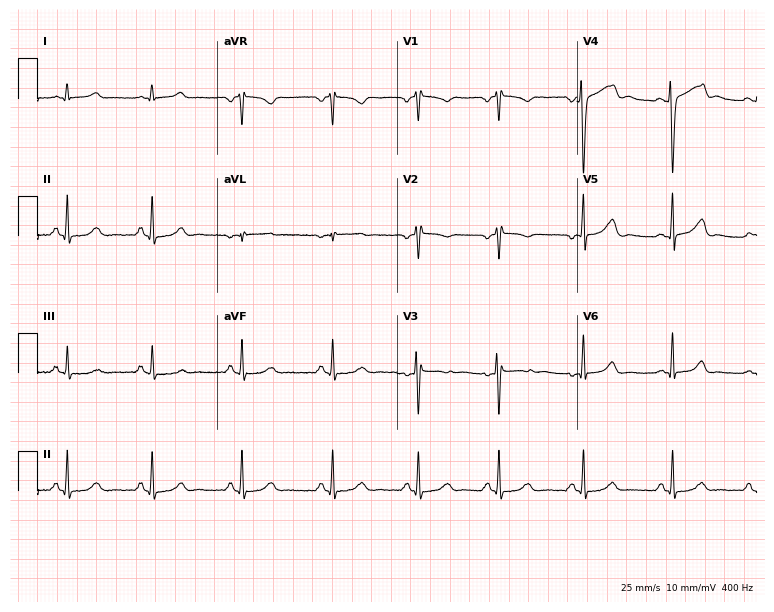
ECG — a 29-year-old woman. Screened for six findings — first-degree AV block, right bundle branch block (RBBB), left bundle branch block (LBBB), sinus bradycardia, atrial fibrillation (AF), sinus tachycardia — none is recorded.